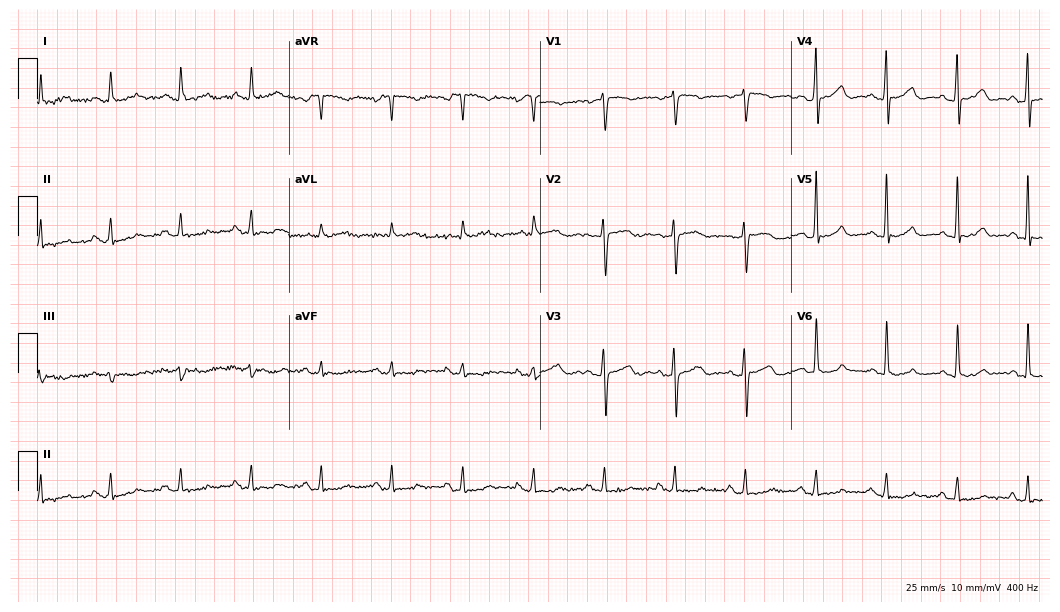
Standard 12-lead ECG recorded from a 77-year-old woman (10.2-second recording at 400 Hz). None of these six findings is recorded: first-degree AV block, right bundle branch block (RBBB), left bundle branch block (LBBB), sinus bradycardia, atrial fibrillation (AF), sinus tachycardia.